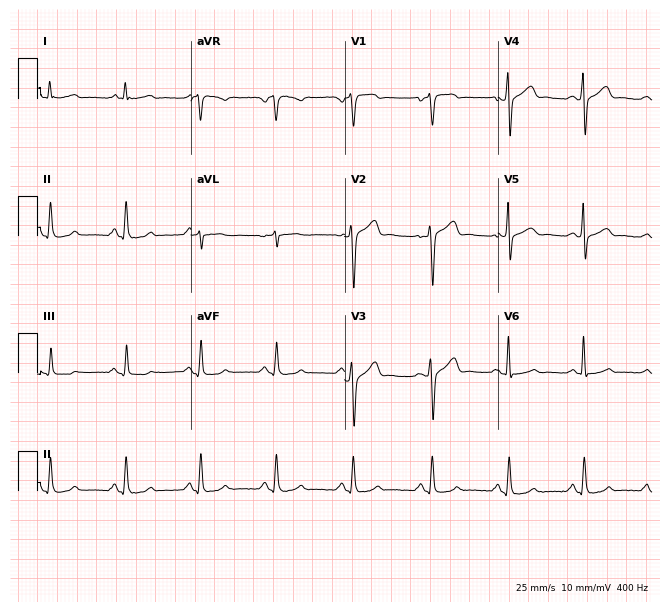
Electrocardiogram, a male patient, 39 years old. Of the six screened findings (first-degree AV block, right bundle branch block, left bundle branch block, sinus bradycardia, atrial fibrillation, sinus tachycardia), none is recorded. Other findings, if any, are not listed.